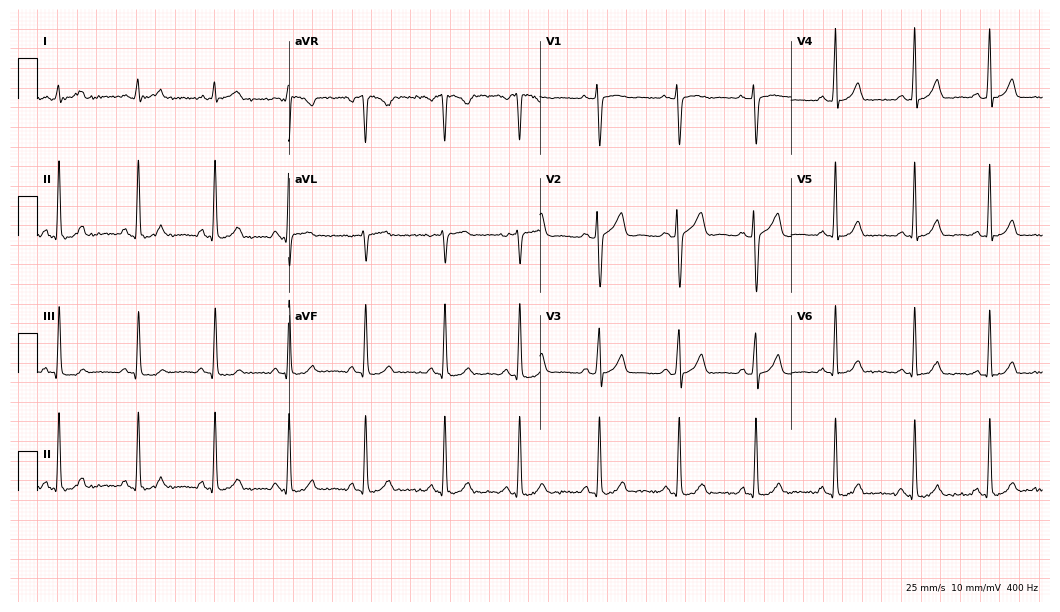
Standard 12-lead ECG recorded from a woman, 30 years old. Read as a normal ECG.